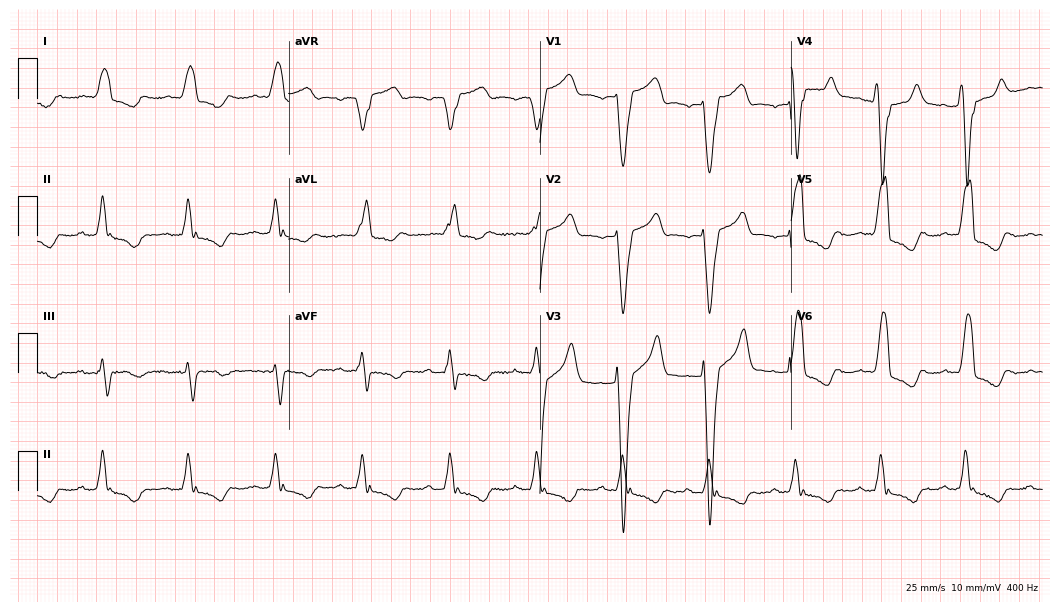
ECG — an 81-year-old male patient. Findings include left bundle branch block.